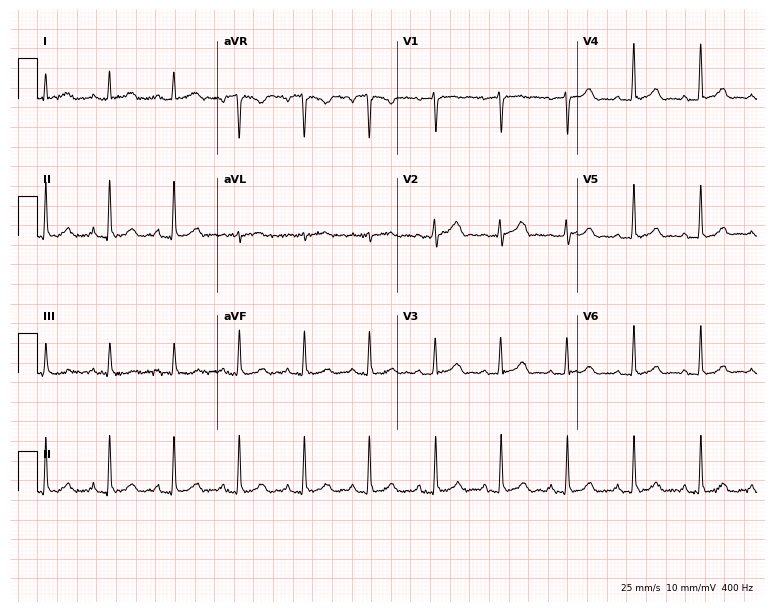
Electrocardiogram (7.3-second recording at 400 Hz), a 42-year-old female. Overall reading on record: normal ECG.